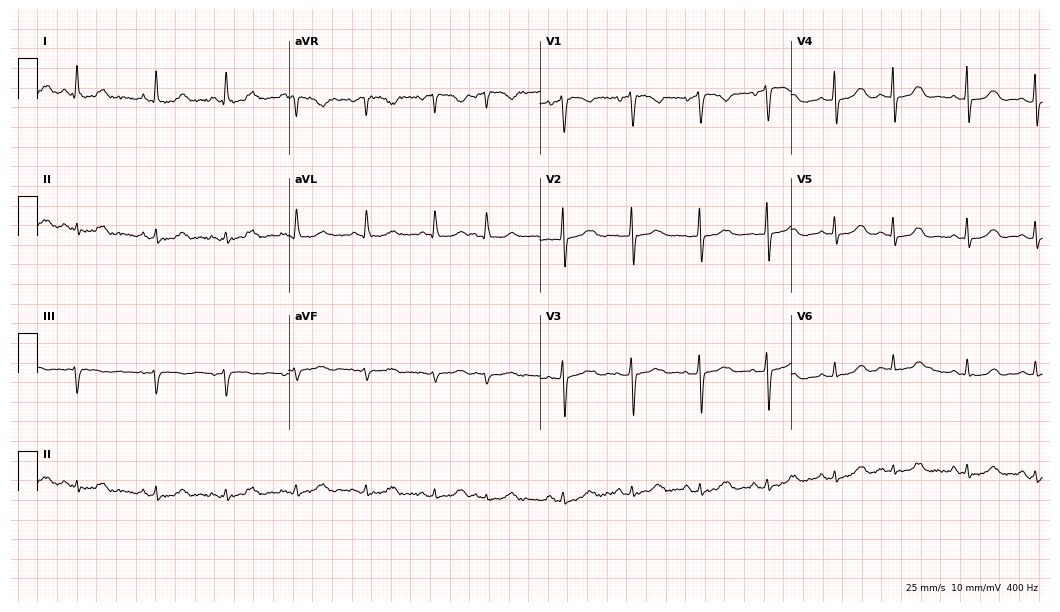
Standard 12-lead ECG recorded from an 87-year-old female patient (10.2-second recording at 400 Hz). None of these six findings is recorded: first-degree AV block, right bundle branch block (RBBB), left bundle branch block (LBBB), sinus bradycardia, atrial fibrillation (AF), sinus tachycardia. Other findings, if any, are not listed.